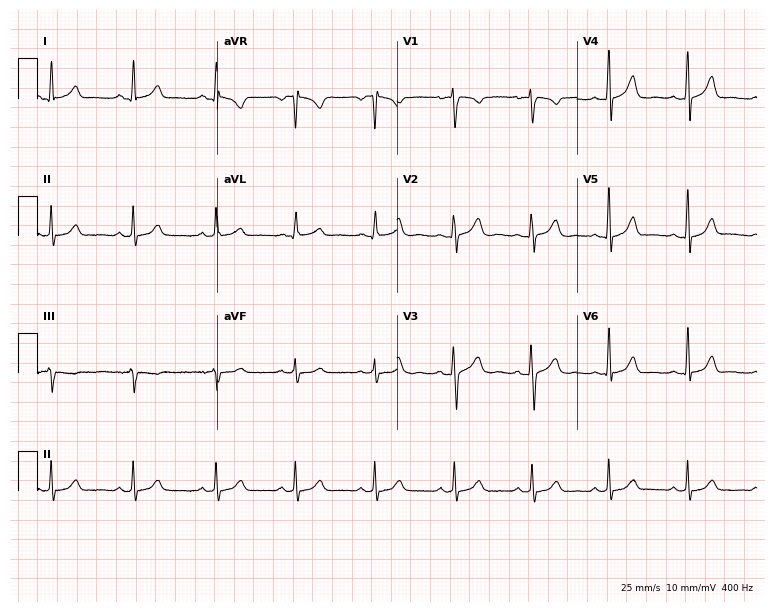
12-lead ECG from a woman, 21 years old. Labelled as a normal ECG.